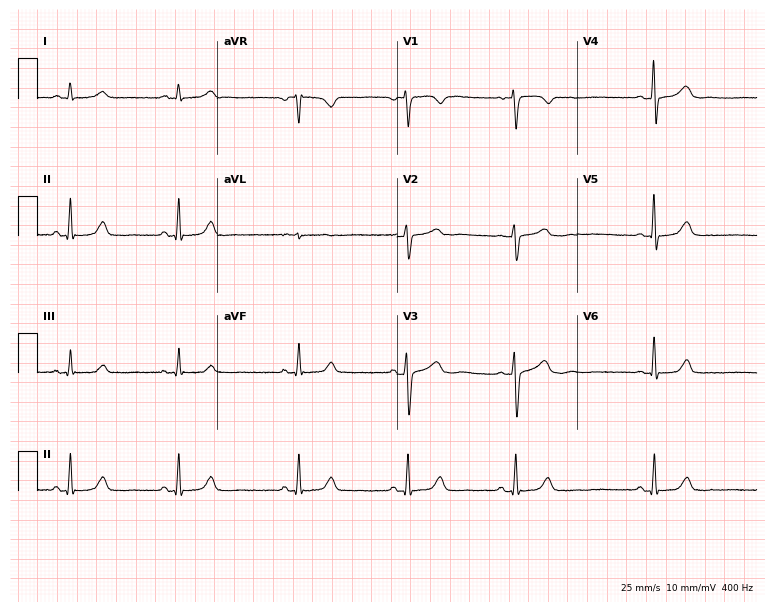
ECG — a female, 27 years old. Labelled as a normal ECG.